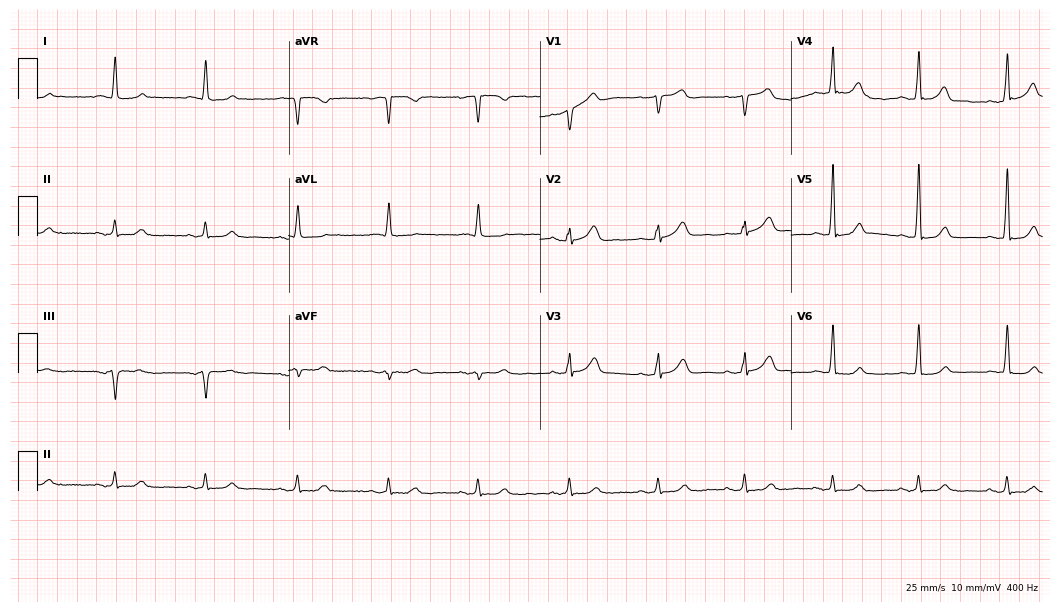
12-lead ECG (10.2-second recording at 400 Hz) from a woman, 81 years old. Screened for six findings — first-degree AV block, right bundle branch block (RBBB), left bundle branch block (LBBB), sinus bradycardia, atrial fibrillation (AF), sinus tachycardia — none is recorded. Only these six findings were labelled.